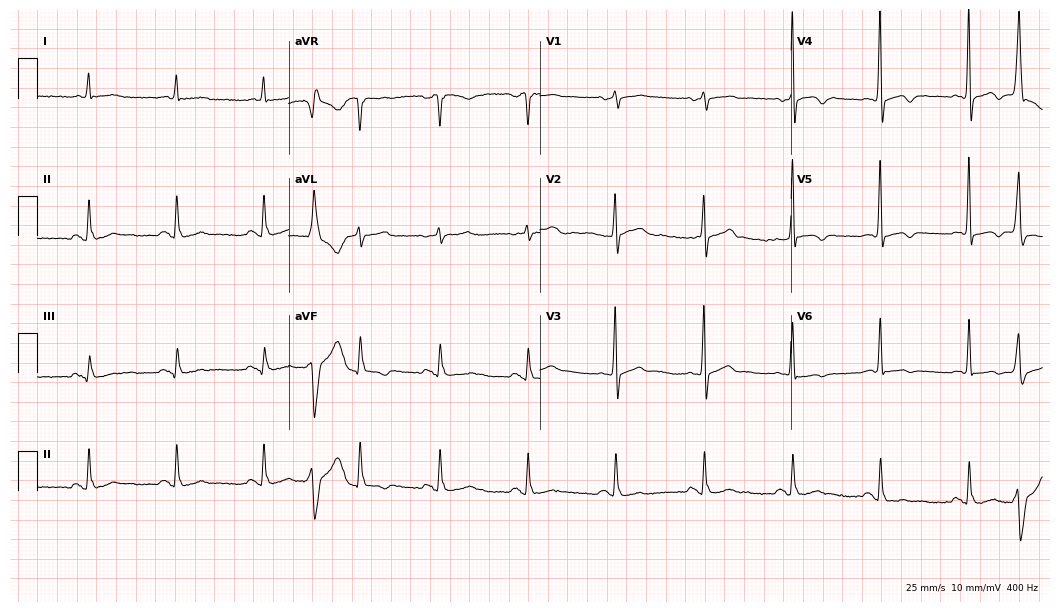
Resting 12-lead electrocardiogram (10.2-second recording at 400 Hz). Patient: a 76-year-old female. None of these six findings is recorded: first-degree AV block, right bundle branch block, left bundle branch block, sinus bradycardia, atrial fibrillation, sinus tachycardia.